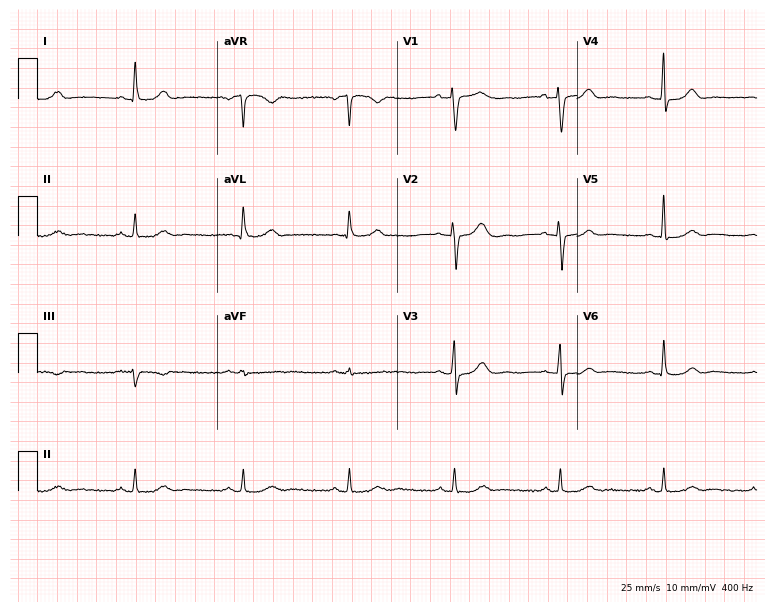
12-lead ECG from a female patient, 64 years old. Recorded interpretation: within normal limits.